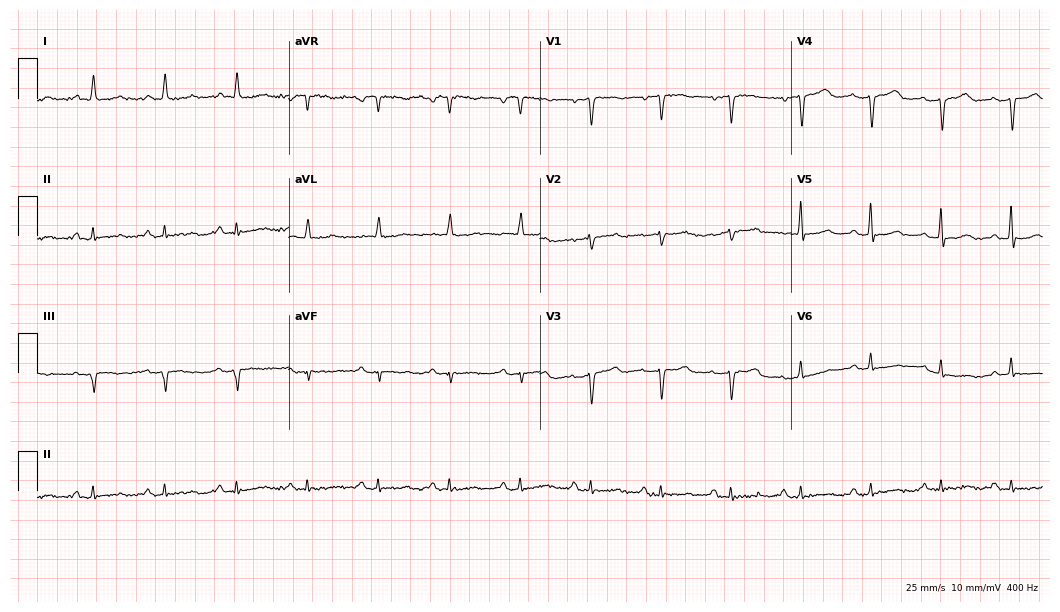
Standard 12-lead ECG recorded from a woman, 81 years old. None of these six findings is recorded: first-degree AV block, right bundle branch block (RBBB), left bundle branch block (LBBB), sinus bradycardia, atrial fibrillation (AF), sinus tachycardia.